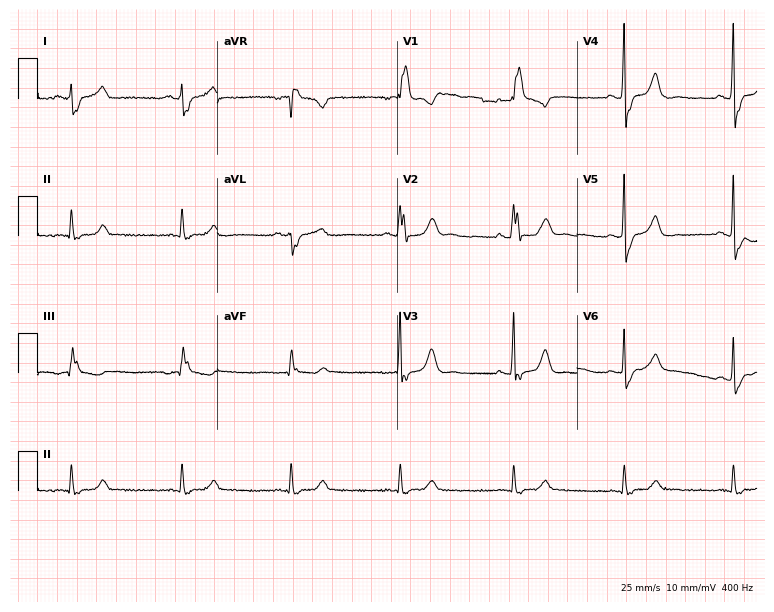
ECG — a 60-year-old male patient. Findings include right bundle branch block.